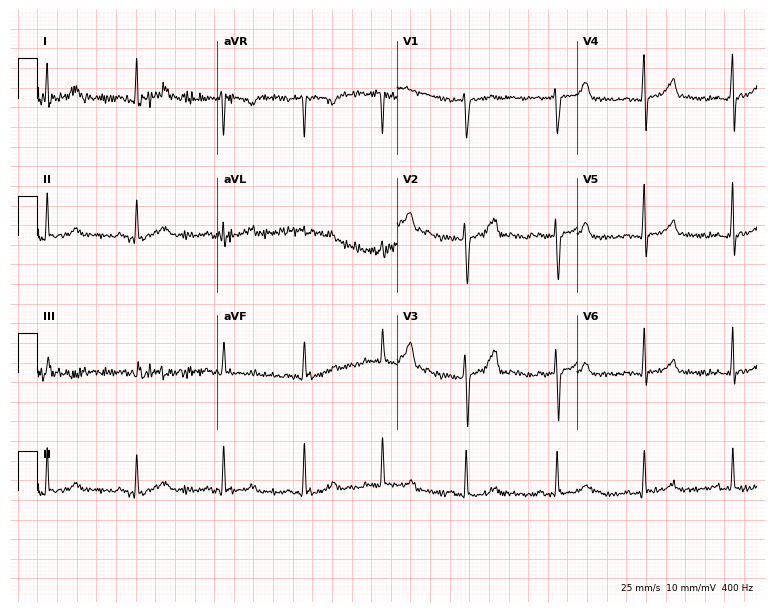
12-lead ECG (7.3-second recording at 400 Hz) from a female patient, 29 years old. Screened for six findings — first-degree AV block, right bundle branch block (RBBB), left bundle branch block (LBBB), sinus bradycardia, atrial fibrillation (AF), sinus tachycardia — none is recorded. Other findings, if any, are not listed.